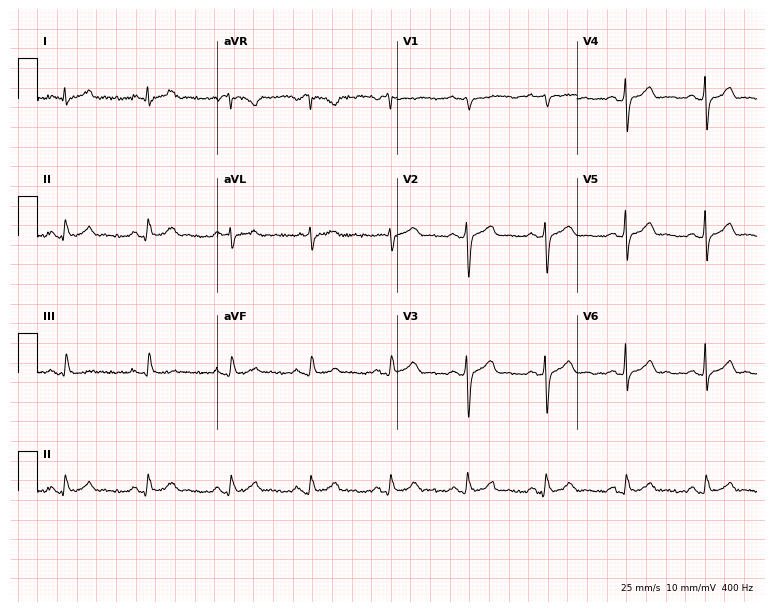
Electrocardiogram, a man, 27 years old. Overall reading on record: normal ECG.